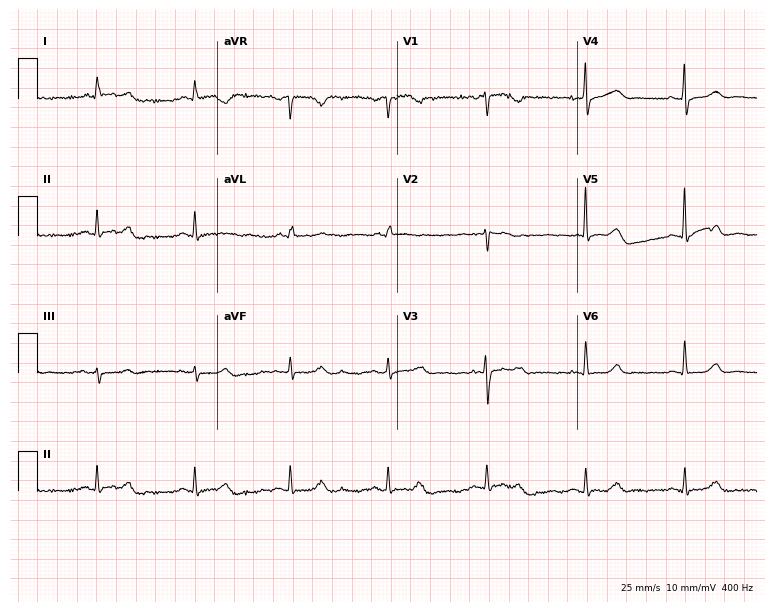
ECG (7.3-second recording at 400 Hz) — a female patient, 70 years old. Labelled as a normal ECG.